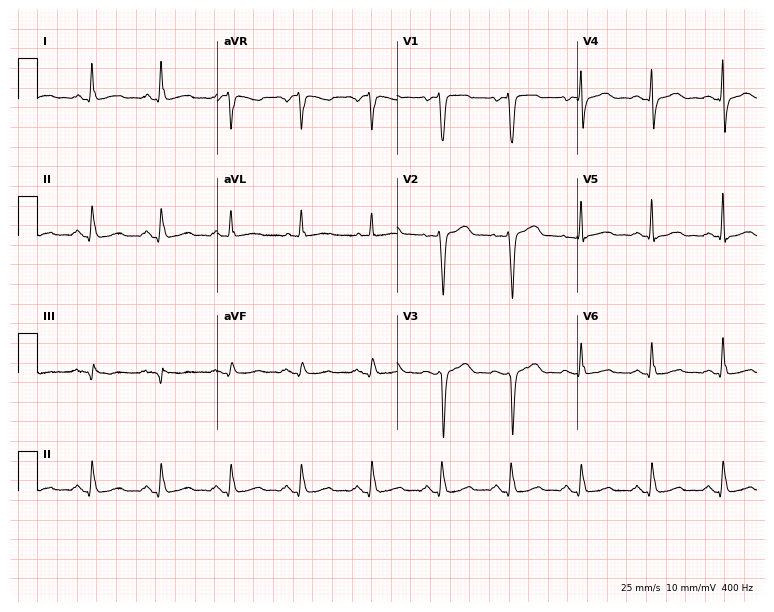
12-lead ECG (7.3-second recording at 400 Hz) from a female, 52 years old. Labelled as a normal ECG.